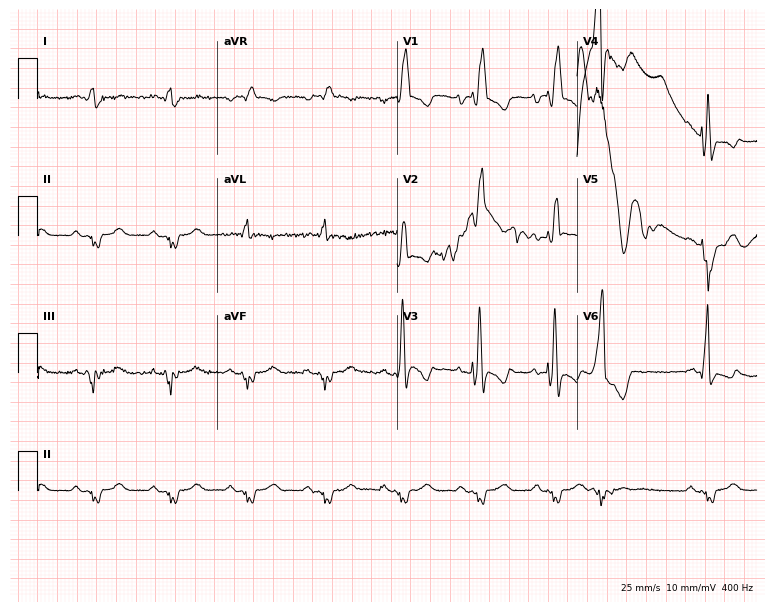
Electrocardiogram (7.3-second recording at 400 Hz), a 61-year-old male. Interpretation includes right bundle branch block (RBBB).